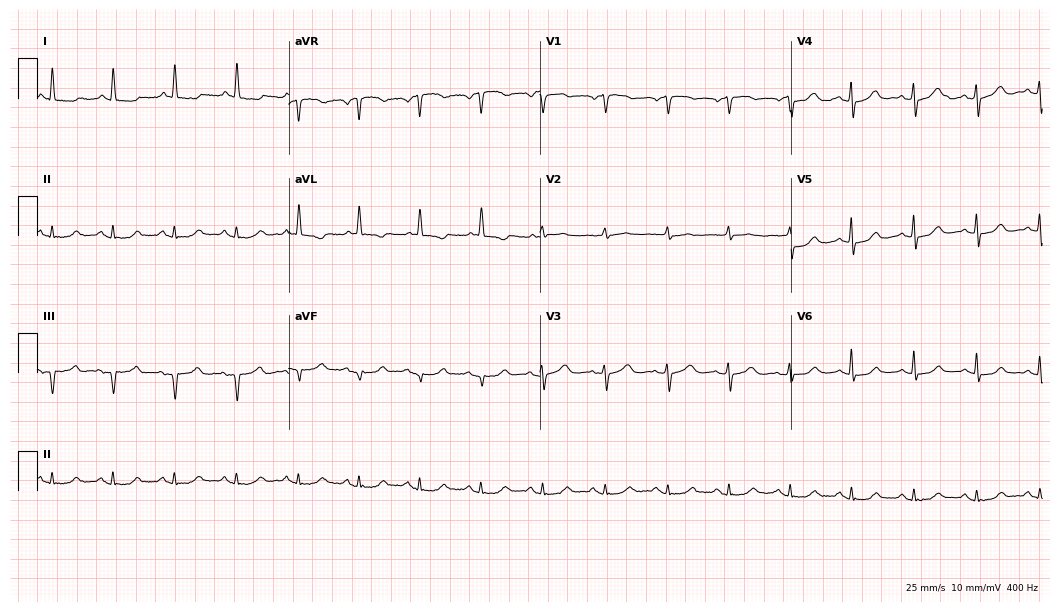
Resting 12-lead electrocardiogram. Patient: a woman, 67 years old. None of these six findings is recorded: first-degree AV block, right bundle branch block (RBBB), left bundle branch block (LBBB), sinus bradycardia, atrial fibrillation (AF), sinus tachycardia. Other findings, if any, are not listed.